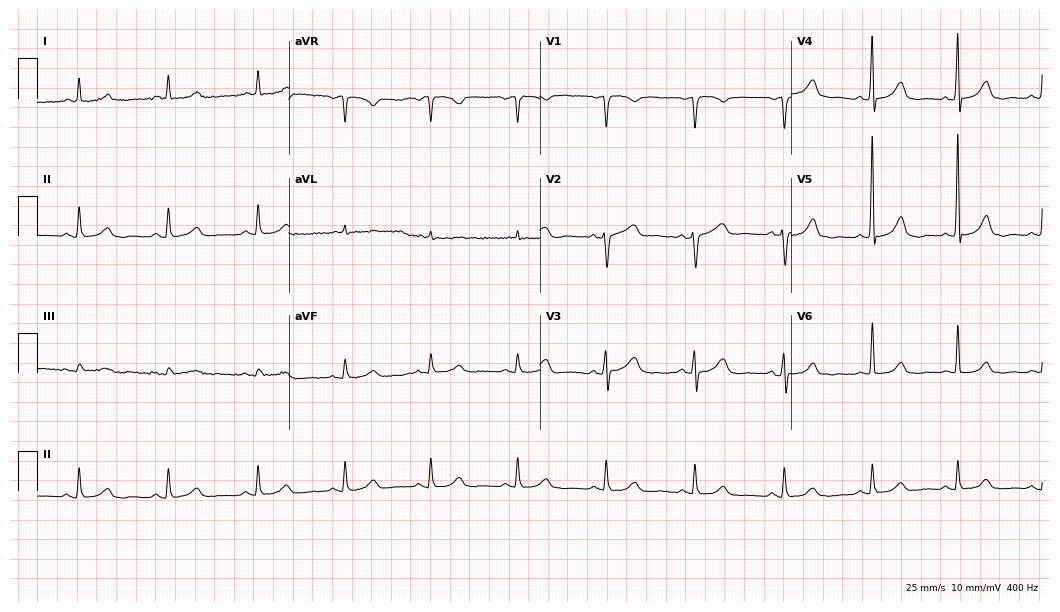
Electrocardiogram (10.2-second recording at 400 Hz), a 60-year-old female. Overall reading on record: normal ECG.